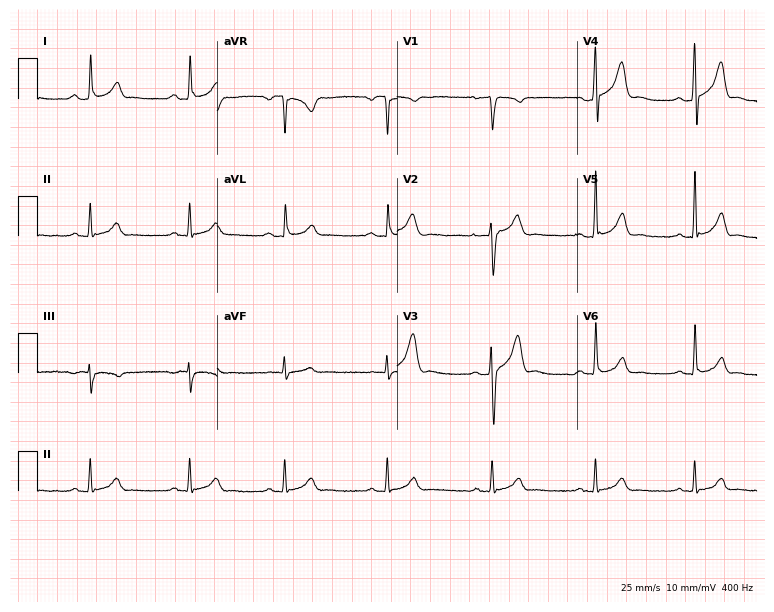
Resting 12-lead electrocardiogram (7.3-second recording at 400 Hz). Patient: a 47-year-old male. Read as a normal ECG.